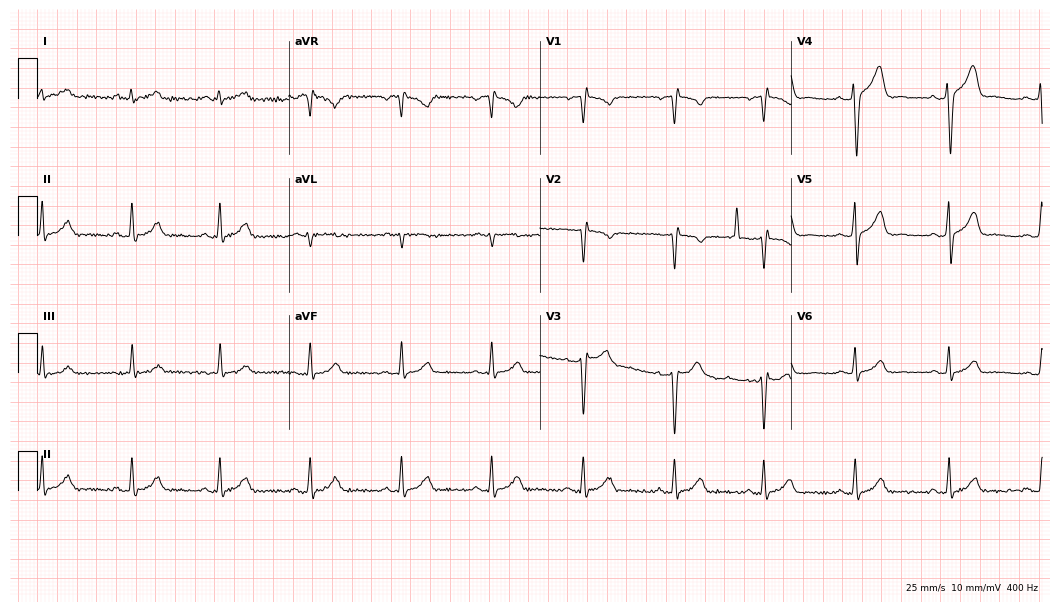
Resting 12-lead electrocardiogram (10.2-second recording at 400 Hz). Patient: a 32-year-old male. None of these six findings is recorded: first-degree AV block, right bundle branch block, left bundle branch block, sinus bradycardia, atrial fibrillation, sinus tachycardia.